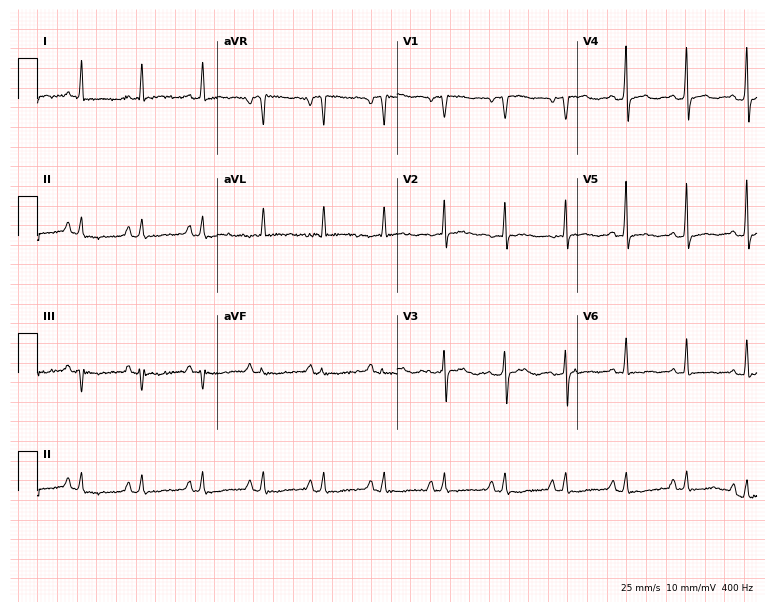
Resting 12-lead electrocardiogram (7.3-second recording at 400 Hz). Patient: a 66-year-old female. None of these six findings is recorded: first-degree AV block, right bundle branch block, left bundle branch block, sinus bradycardia, atrial fibrillation, sinus tachycardia. Findings outside these six are not listed.